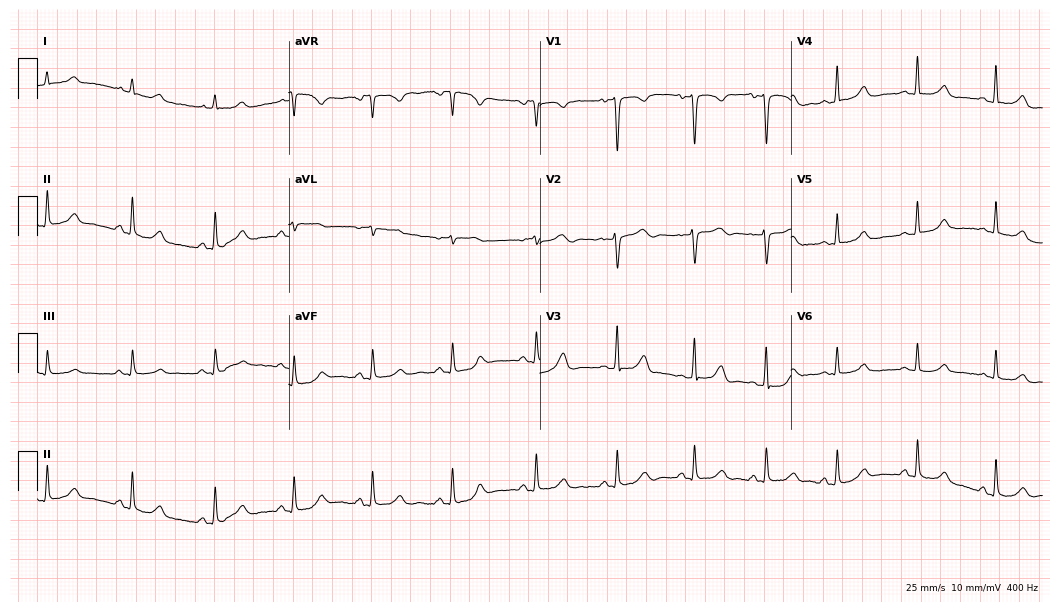
Electrocardiogram (10.2-second recording at 400 Hz), a 22-year-old woman. Overall reading on record: normal ECG.